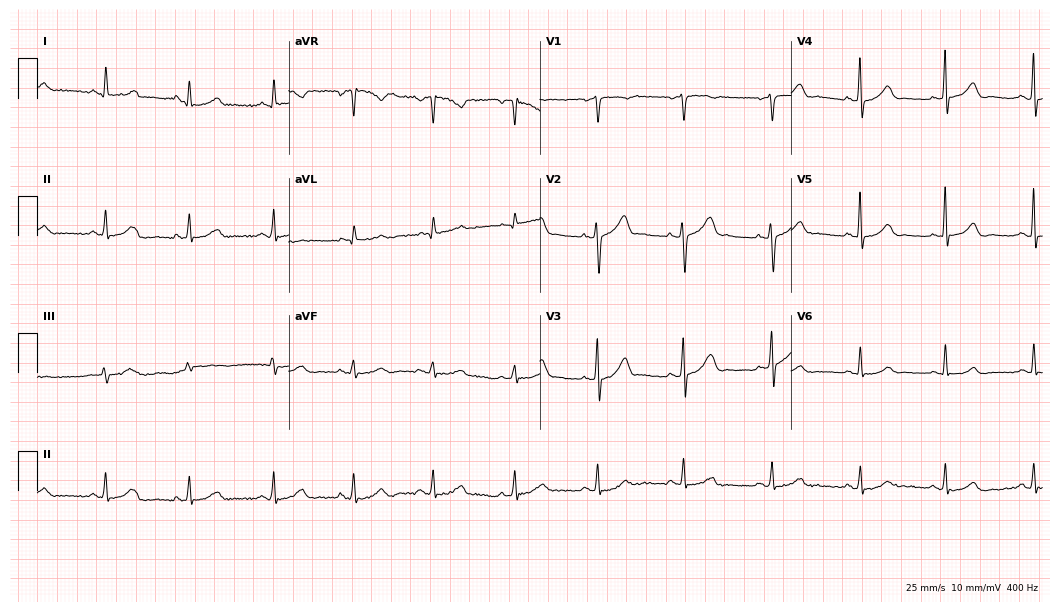
12-lead ECG from a 56-year-old woman. Labelled as a normal ECG.